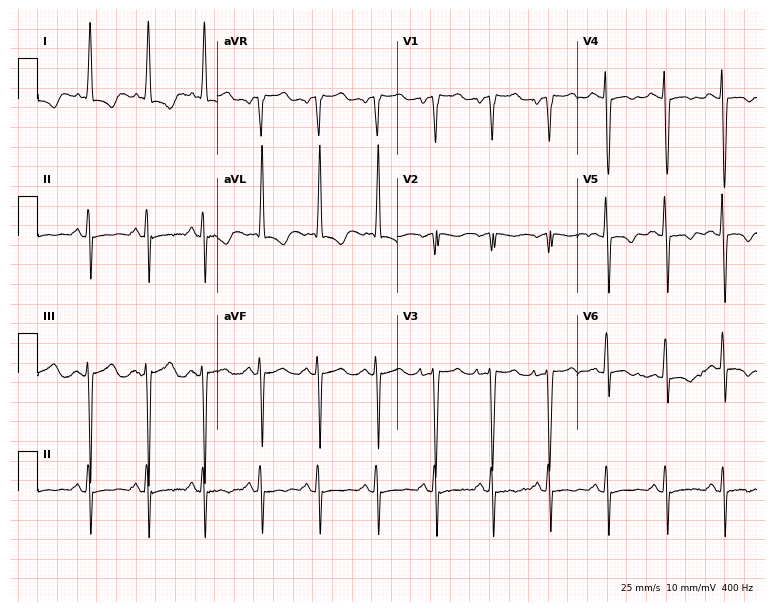
Resting 12-lead electrocardiogram. Patient: a female, 43 years old. The tracing shows sinus tachycardia (a sinus rate of 100 beats per minute or more).